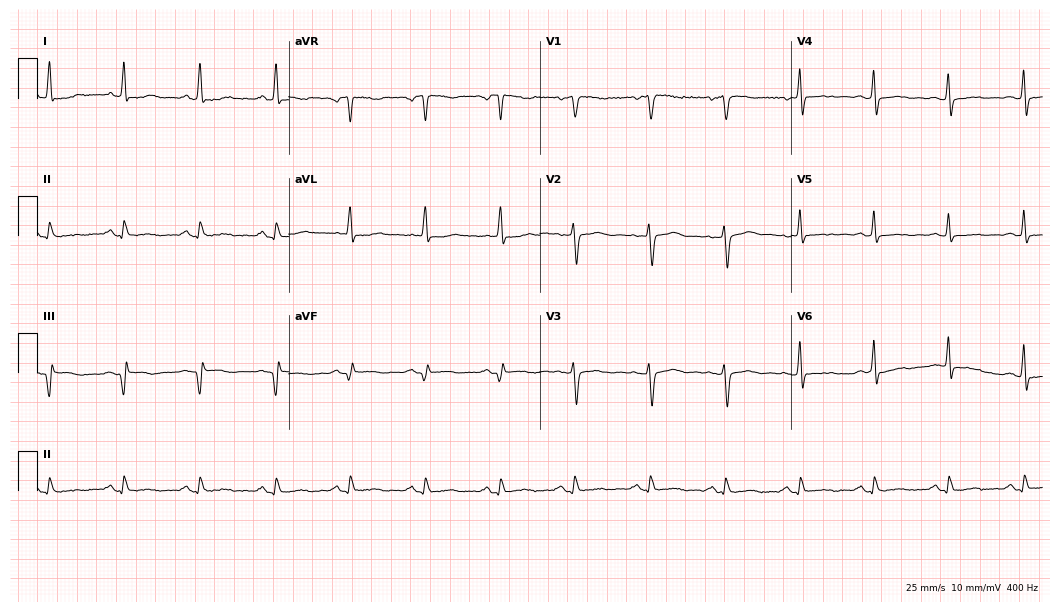
Resting 12-lead electrocardiogram. Patient: a female, 58 years old. None of these six findings is recorded: first-degree AV block, right bundle branch block, left bundle branch block, sinus bradycardia, atrial fibrillation, sinus tachycardia. Findings outside these six are not listed.